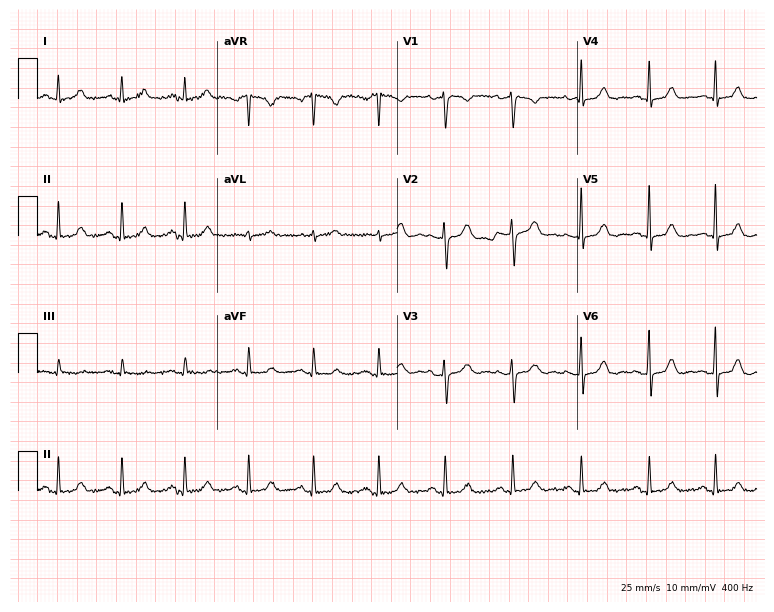
12-lead ECG from a female, 50 years old. Labelled as a normal ECG.